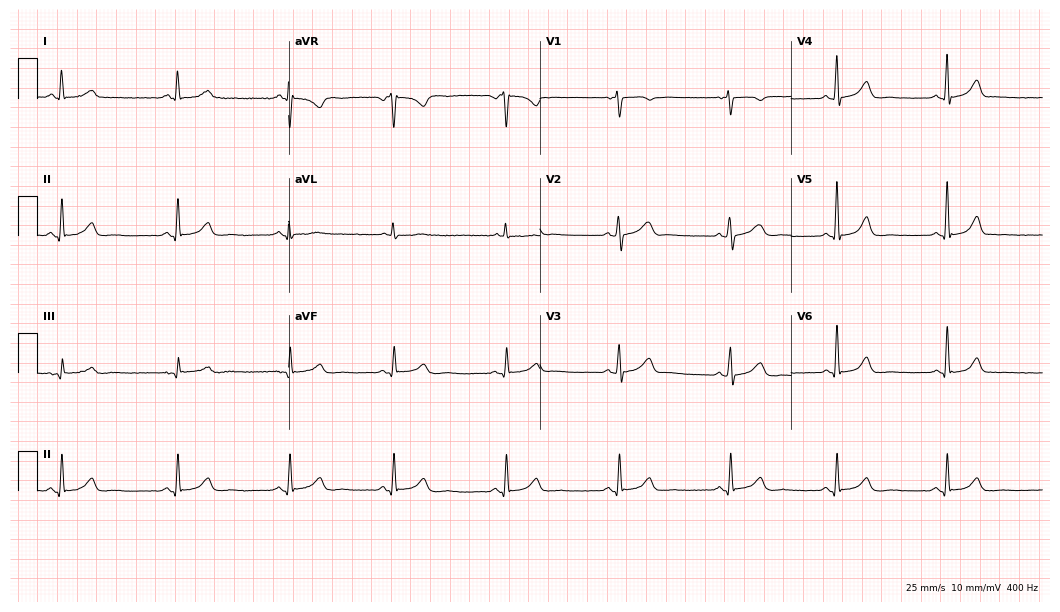
12-lead ECG from a female, 68 years old. Recorded interpretation: within normal limits.